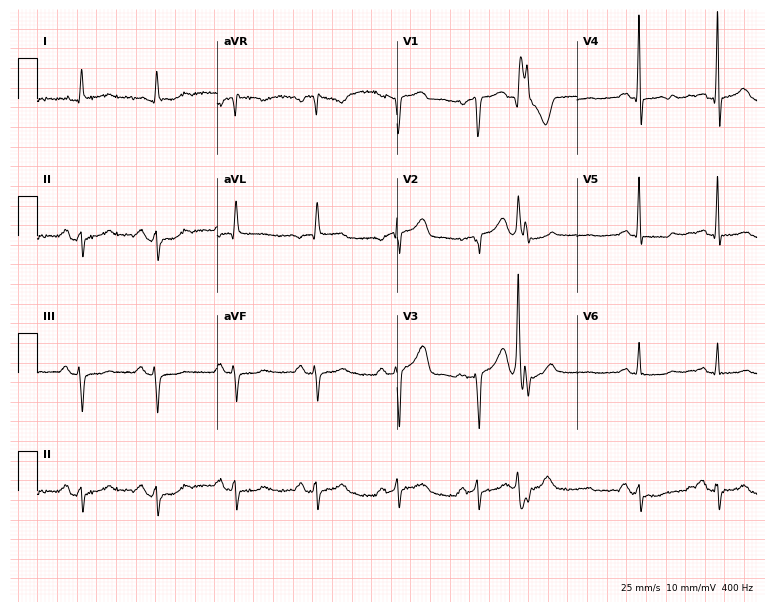
Electrocardiogram, a female patient, 75 years old. Overall reading on record: normal ECG.